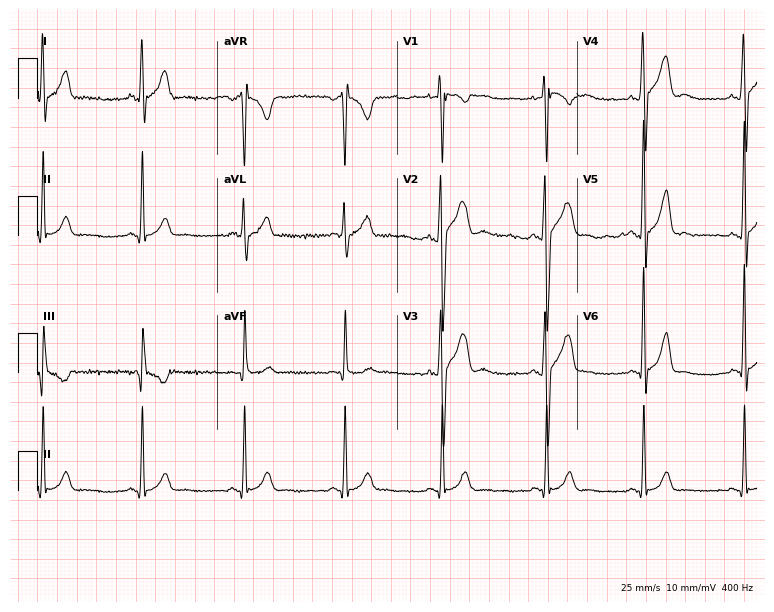
12-lead ECG from a 21-year-old man. Screened for six findings — first-degree AV block, right bundle branch block, left bundle branch block, sinus bradycardia, atrial fibrillation, sinus tachycardia — none is recorded. Only these six findings were labelled.